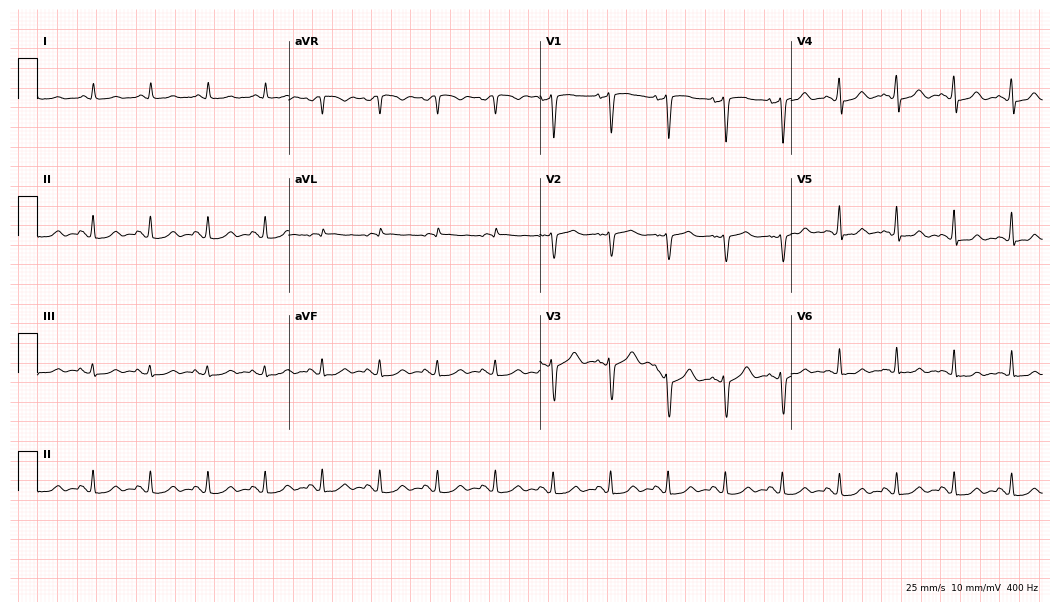
12-lead ECG from a 65-year-old male patient (10.2-second recording at 400 Hz). Shows sinus tachycardia (a sinus rate of 100 beats per minute or more).